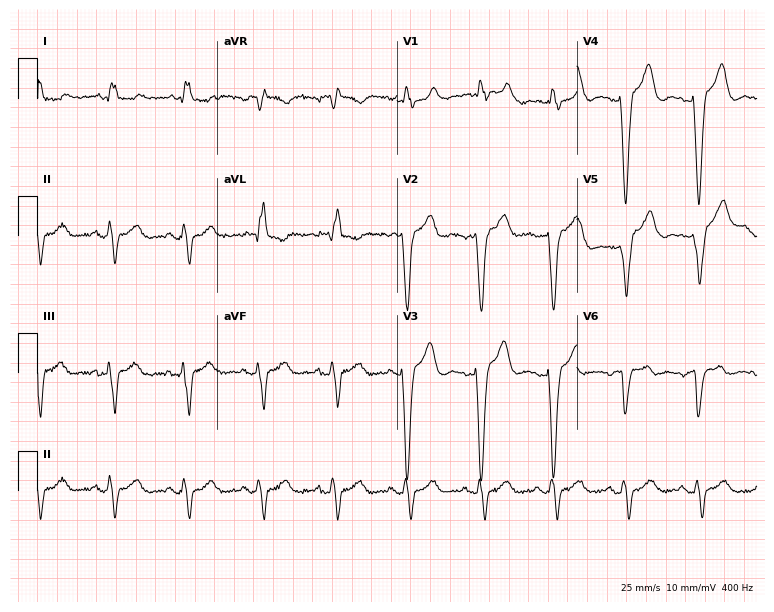
12-lead ECG from a female patient, 84 years old. No first-degree AV block, right bundle branch block, left bundle branch block, sinus bradycardia, atrial fibrillation or sinus tachycardia recorded for this tracing.